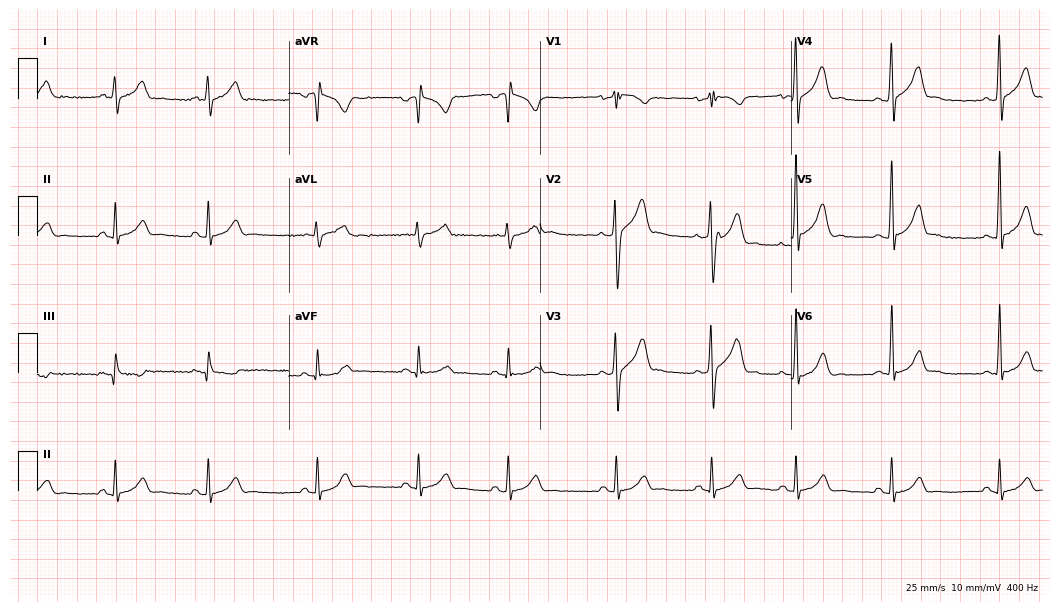
Standard 12-lead ECG recorded from a male, 28 years old. Read as a normal ECG.